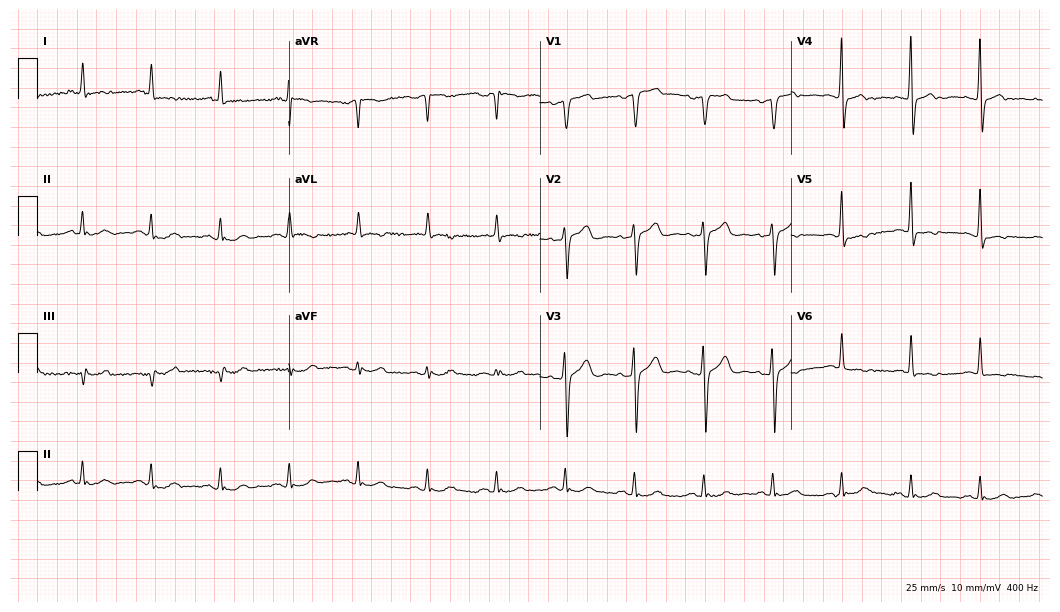
Electrocardiogram (10.2-second recording at 400 Hz), a female, 82 years old. Of the six screened findings (first-degree AV block, right bundle branch block, left bundle branch block, sinus bradycardia, atrial fibrillation, sinus tachycardia), none is recorded.